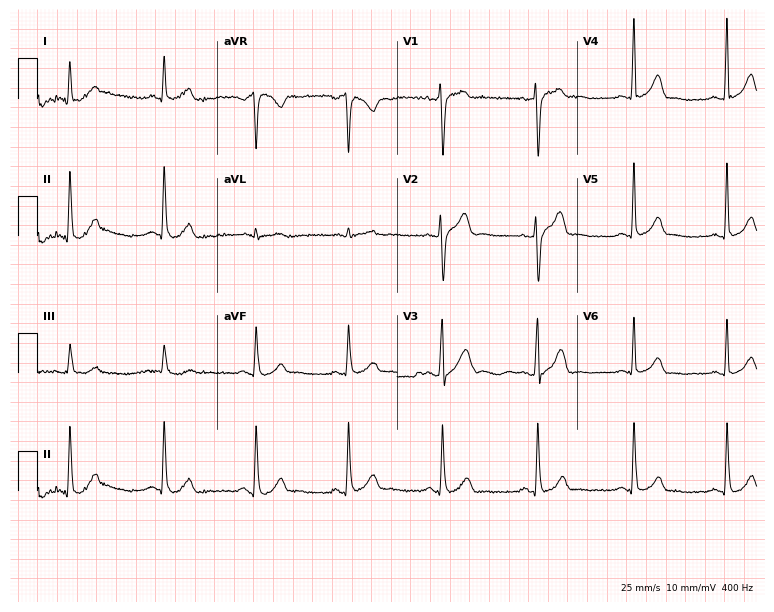
Standard 12-lead ECG recorded from a 30-year-old male. Read as a normal ECG.